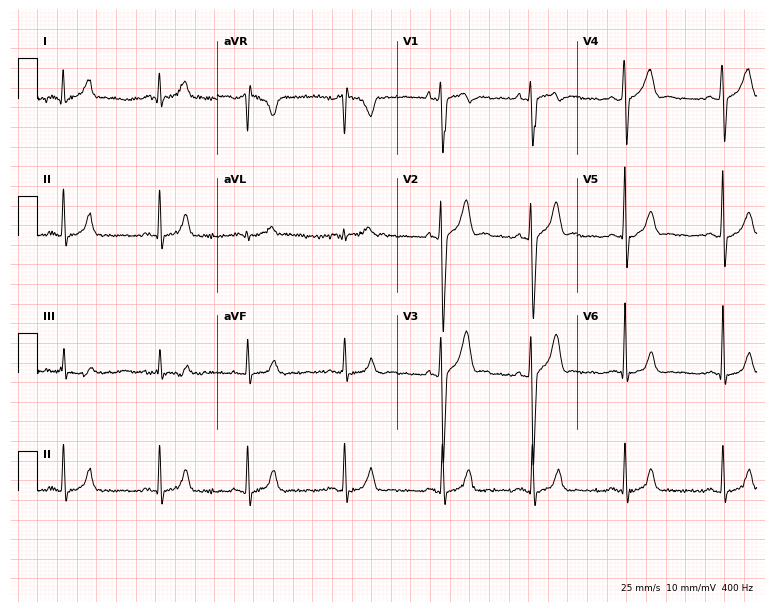
12-lead ECG from a 19-year-old male. Recorded interpretation: within normal limits.